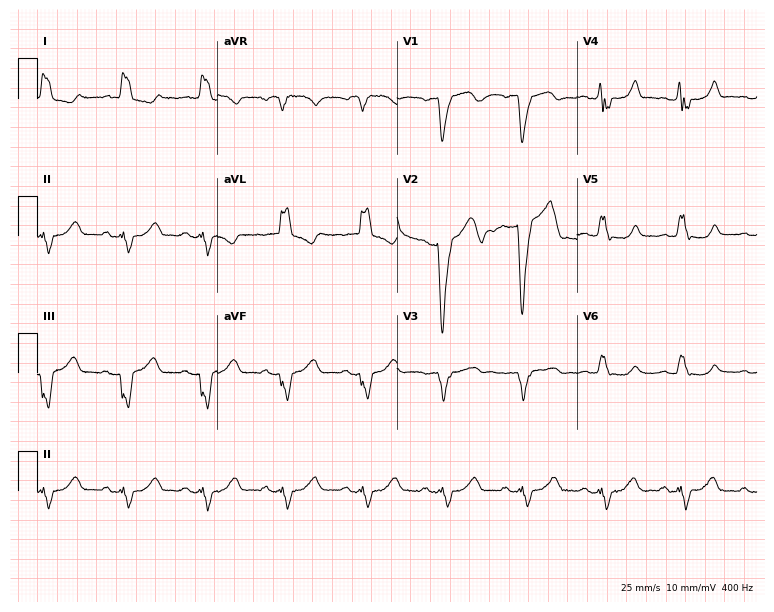
12-lead ECG (7.3-second recording at 400 Hz) from a 69-year-old female. Findings include left bundle branch block.